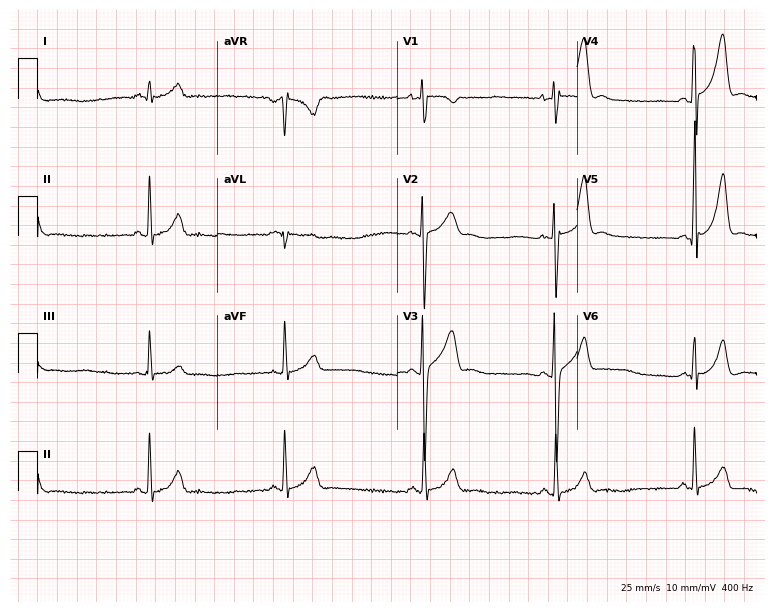
ECG — a 17-year-old male patient. Findings include sinus bradycardia (a sinus rate of 50 beats per minute or less).